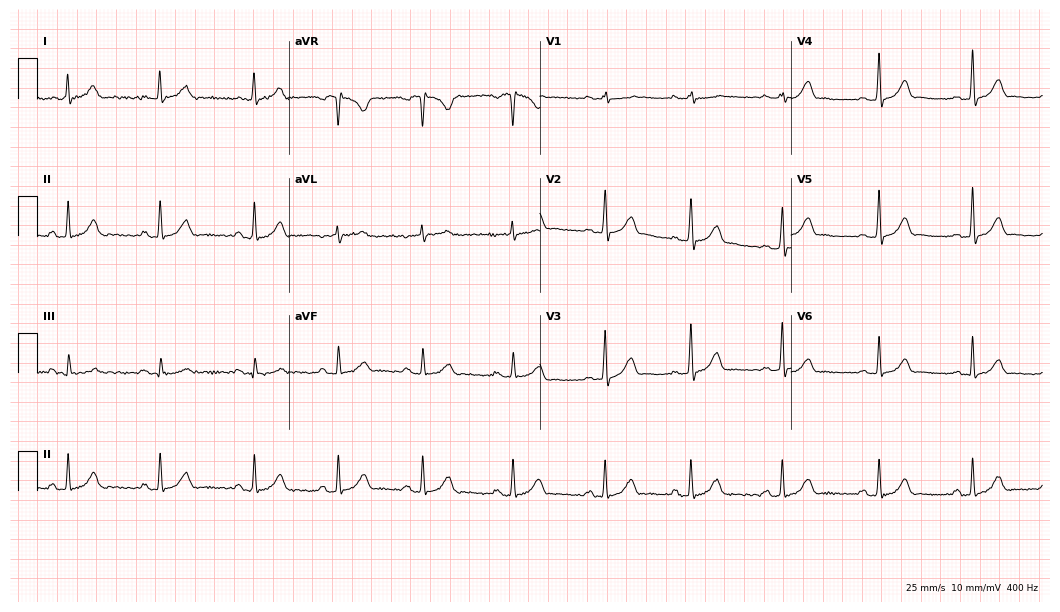
ECG — a female, 32 years old. Screened for six findings — first-degree AV block, right bundle branch block, left bundle branch block, sinus bradycardia, atrial fibrillation, sinus tachycardia — none is recorded. Other findings, if any, are not listed.